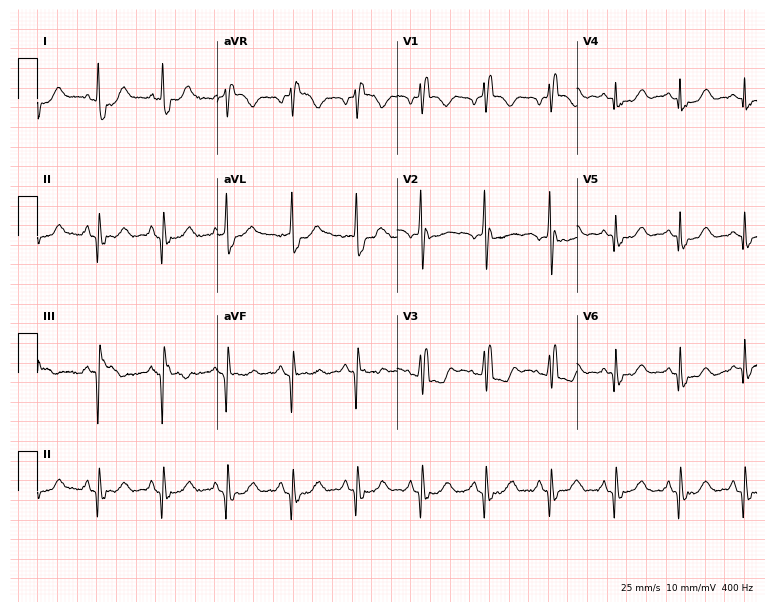
ECG — an 85-year-old woman. Findings include right bundle branch block (RBBB).